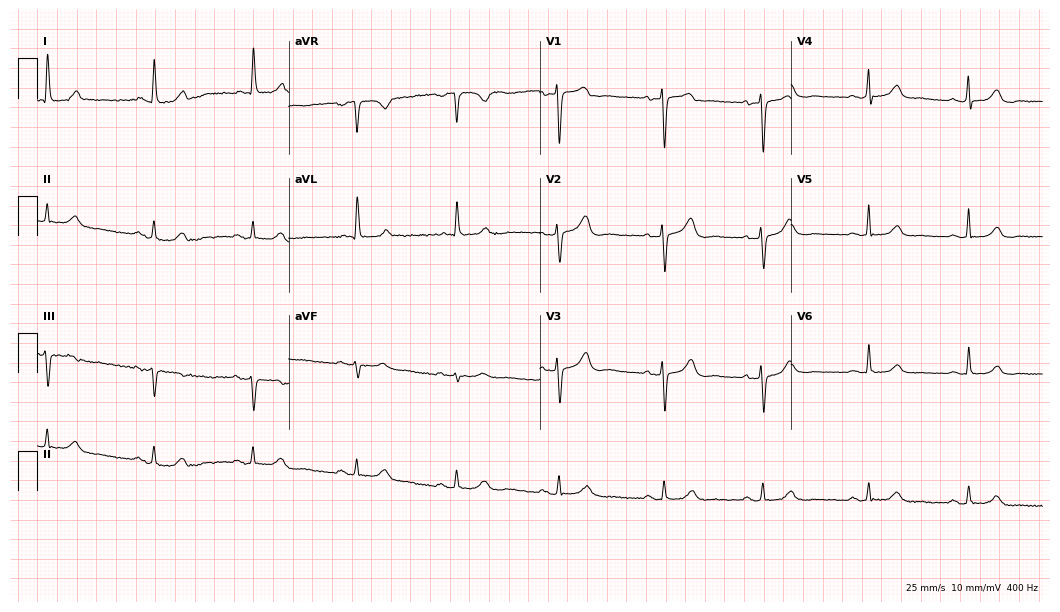
Standard 12-lead ECG recorded from a woman, 83 years old (10.2-second recording at 400 Hz). Read as a normal ECG.